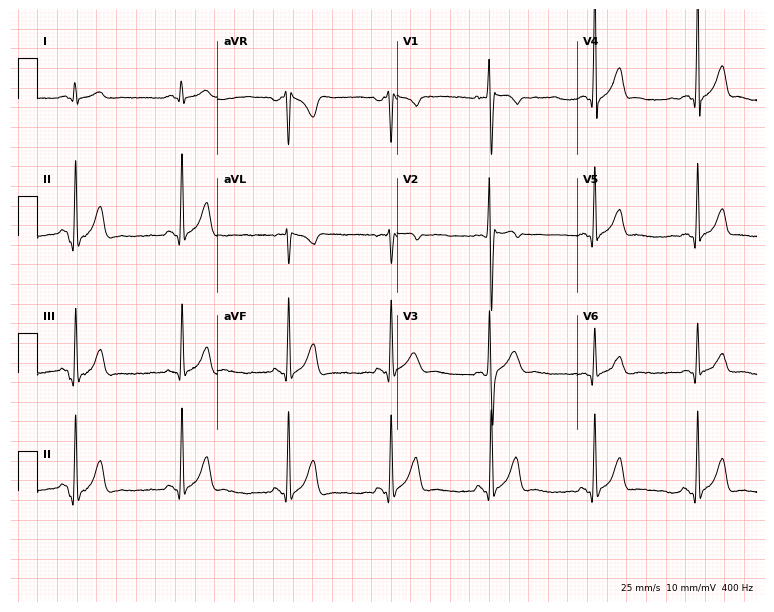
Resting 12-lead electrocardiogram. Patient: a 23-year-old male. None of these six findings is recorded: first-degree AV block, right bundle branch block (RBBB), left bundle branch block (LBBB), sinus bradycardia, atrial fibrillation (AF), sinus tachycardia.